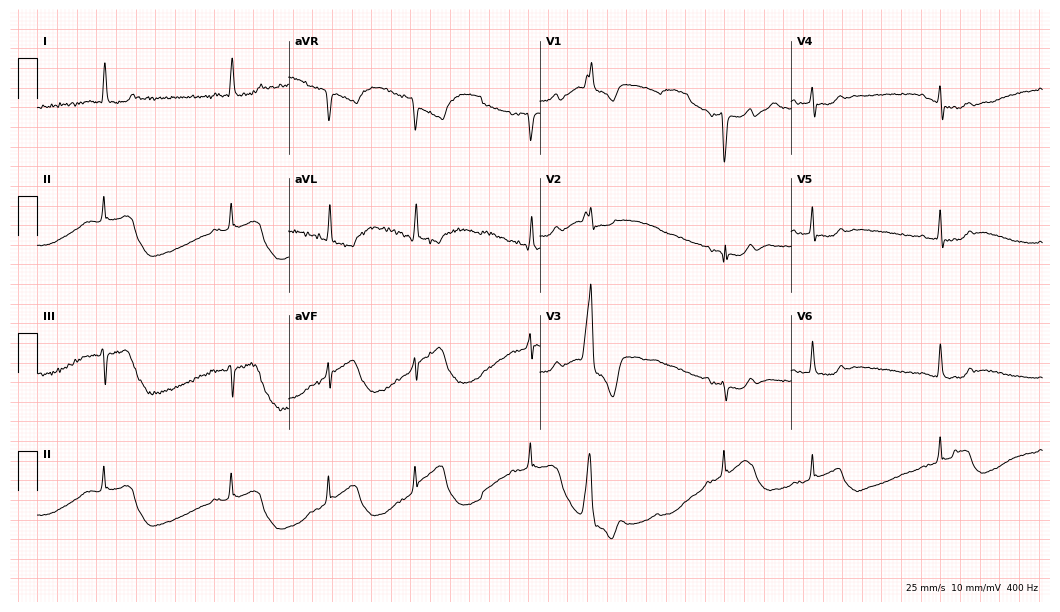
Electrocardiogram, a male patient, 78 years old. Of the six screened findings (first-degree AV block, right bundle branch block, left bundle branch block, sinus bradycardia, atrial fibrillation, sinus tachycardia), none is recorded.